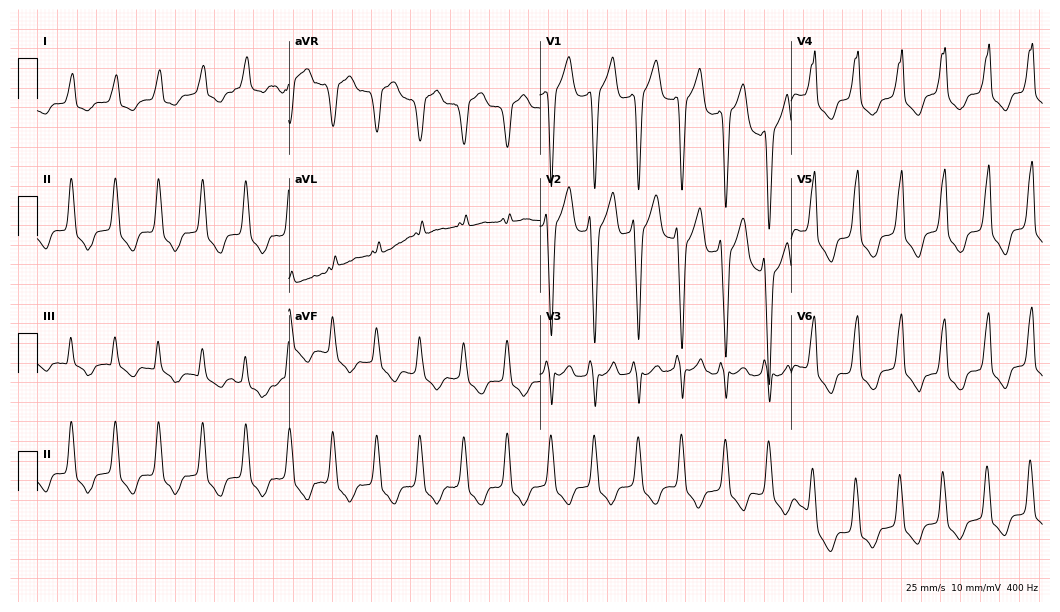
ECG — a 54-year-old male. Screened for six findings — first-degree AV block, right bundle branch block, left bundle branch block, sinus bradycardia, atrial fibrillation, sinus tachycardia — none is recorded.